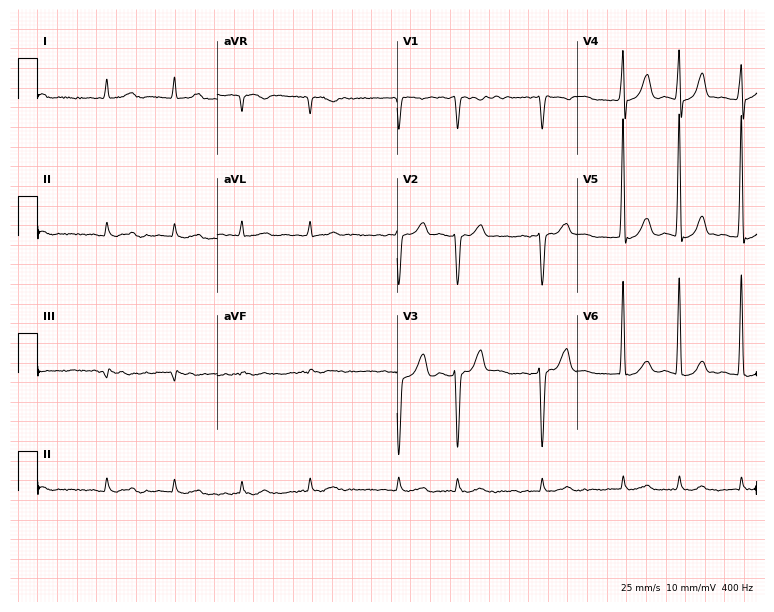
Resting 12-lead electrocardiogram. Patient: a 71-year-old male. The tracing shows atrial fibrillation.